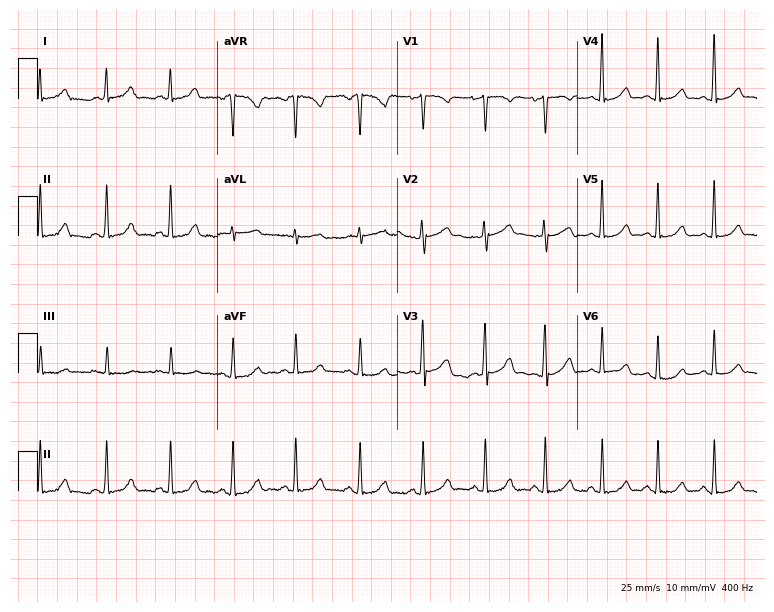
12-lead ECG from a 42-year-old woman. Recorded interpretation: within normal limits.